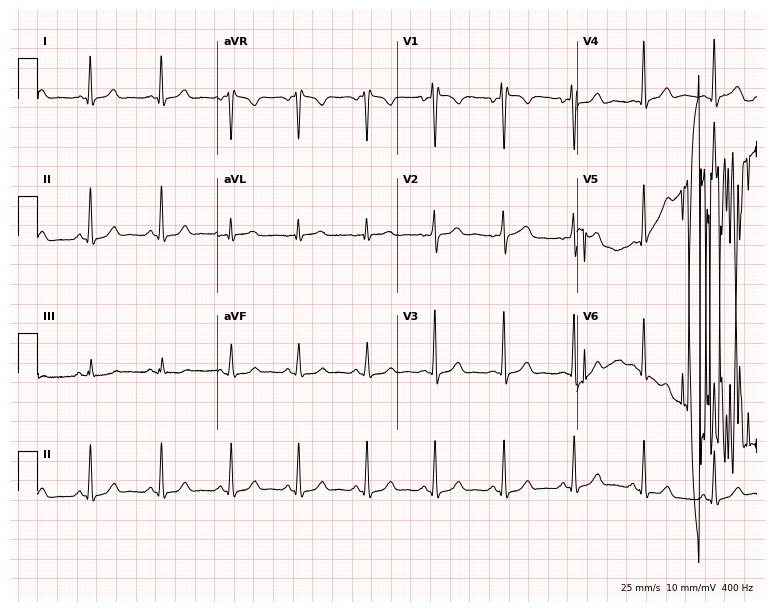
Resting 12-lead electrocardiogram (7.3-second recording at 400 Hz). Patient: a 26-year-old female. None of these six findings is recorded: first-degree AV block, right bundle branch block (RBBB), left bundle branch block (LBBB), sinus bradycardia, atrial fibrillation (AF), sinus tachycardia. Only these six findings were labelled.